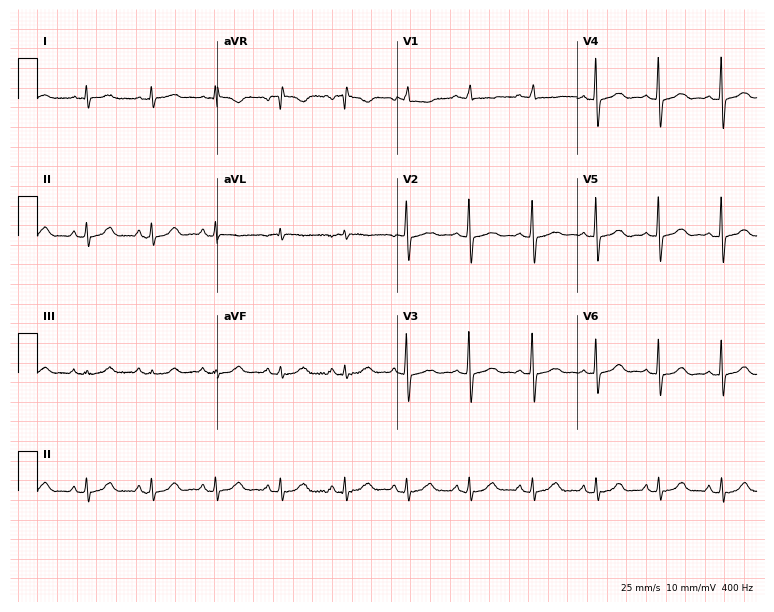
Resting 12-lead electrocardiogram (7.3-second recording at 400 Hz). Patient: a female, 64 years old. Read as a normal ECG.